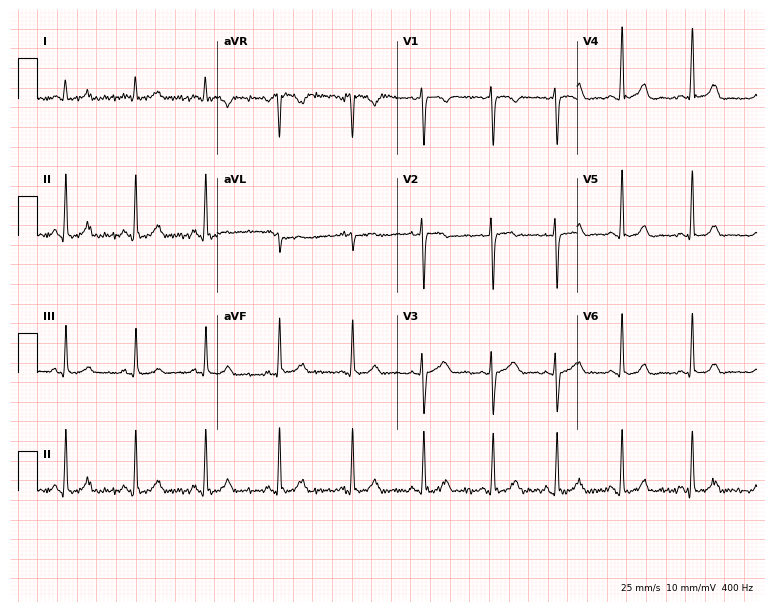
ECG (7.3-second recording at 400 Hz) — a 32-year-old female. Labelled as a normal ECG.